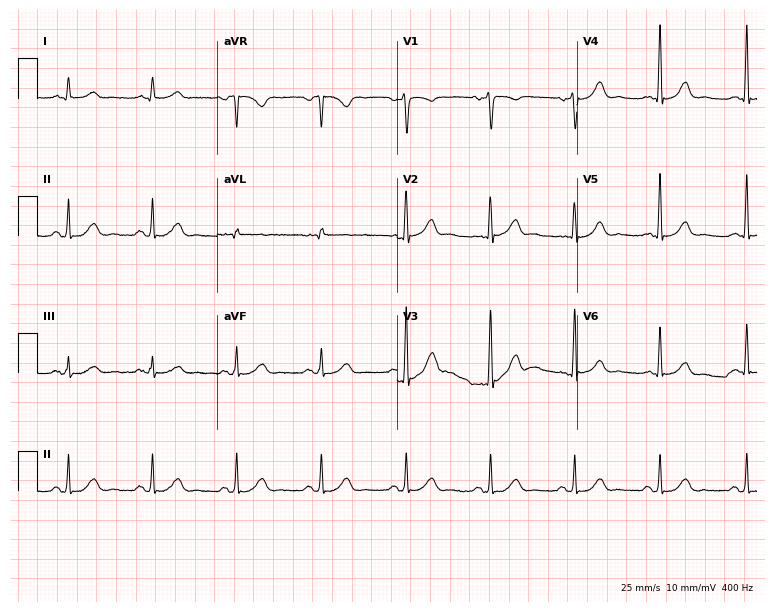
Electrocardiogram (7.3-second recording at 400 Hz), a male patient, 61 years old. Overall reading on record: normal ECG.